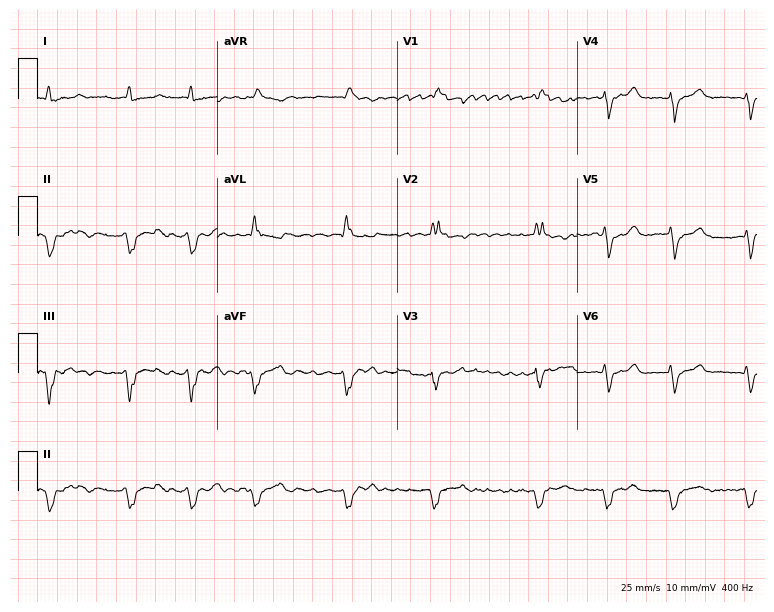
12-lead ECG from a 69-year-old female patient. Findings include right bundle branch block, atrial fibrillation.